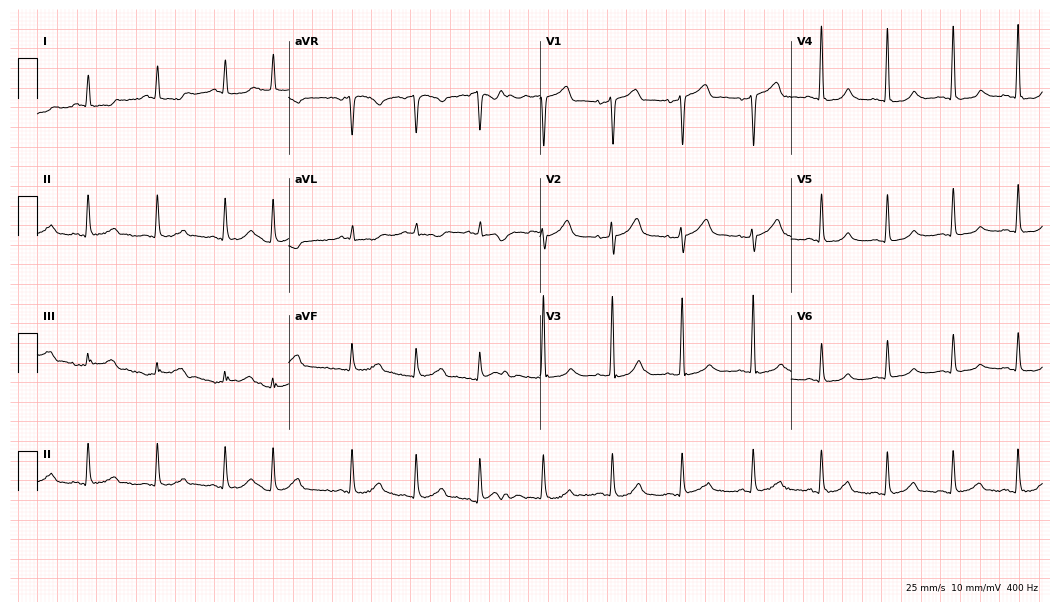
Electrocardiogram, a female, 70 years old. Overall reading on record: normal ECG.